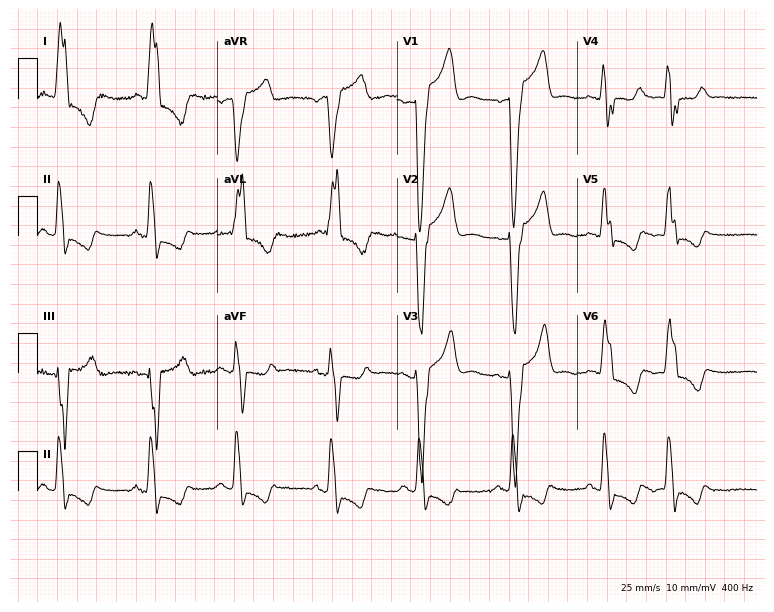
Resting 12-lead electrocardiogram (7.3-second recording at 400 Hz). Patient: a female, 70 years old. The tracing shows left bundle branch block.